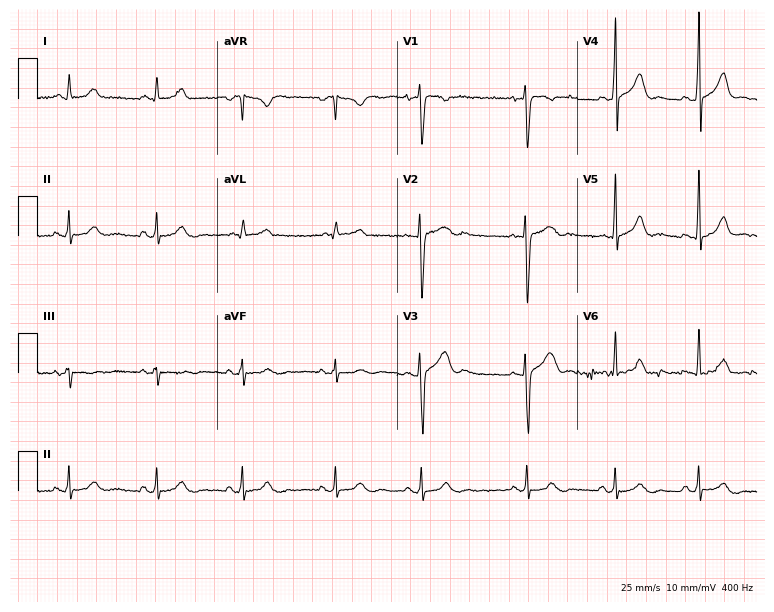
Standard 12-lead ECG recorded from a 20-year-old man. Read as a normal ECG.